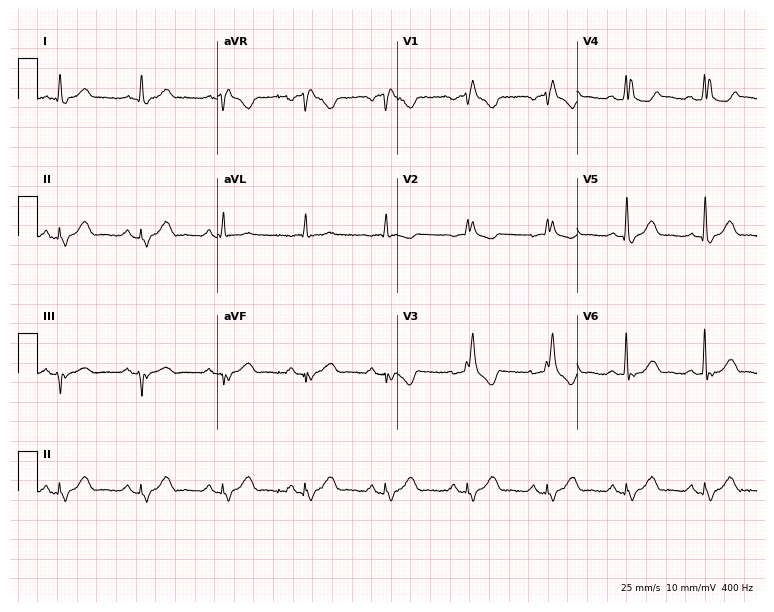
Standard 12-lead ECG recorded from a 67-year-old man (7.3-second recording at 400 Hz). The tracing shows right bundle branch block.